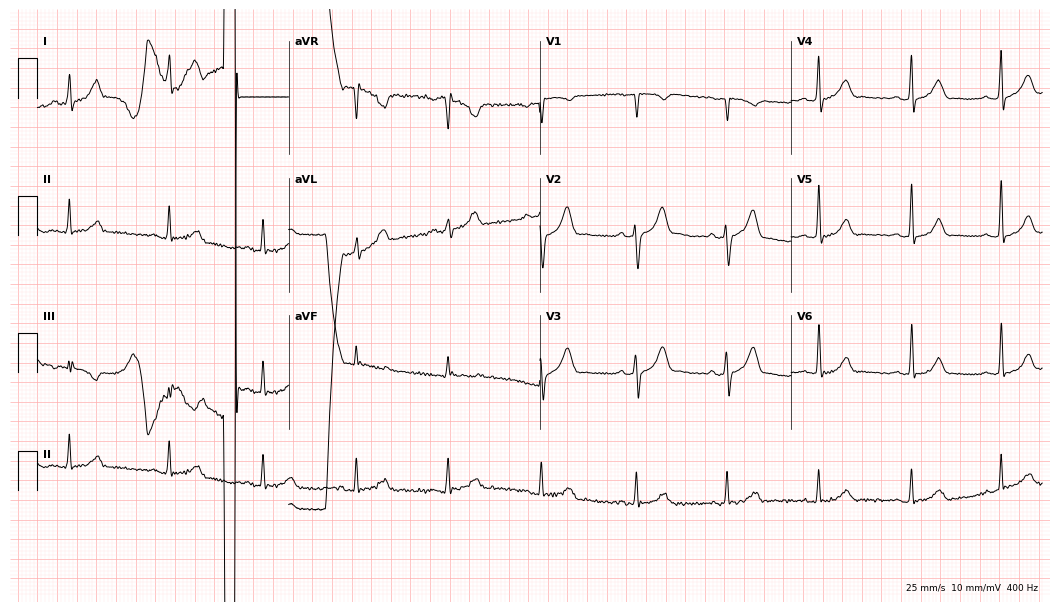
12-lead ECG from a 30-year-old male. Screened for six findings — first-degree AV block, right bundle branch block, left bundle branch block, sinus bradycardia, atrial fibrillation, sinus tachycardia — none is recorded.